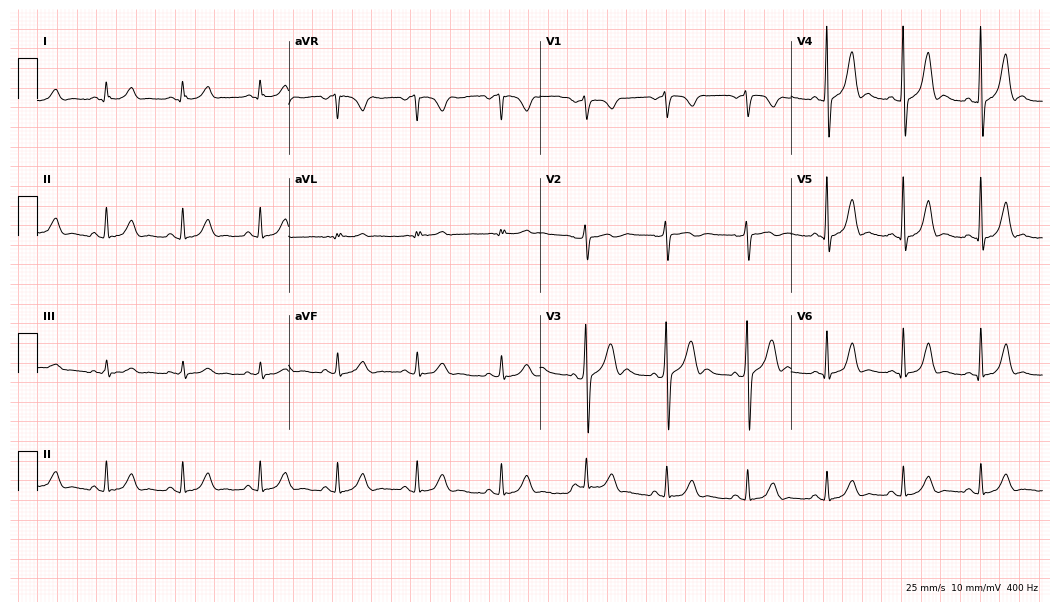
12-lead ECG from a 44-year-old male (10.2-second recording at 400 Hz). Recorded interpretation: within normal limits.